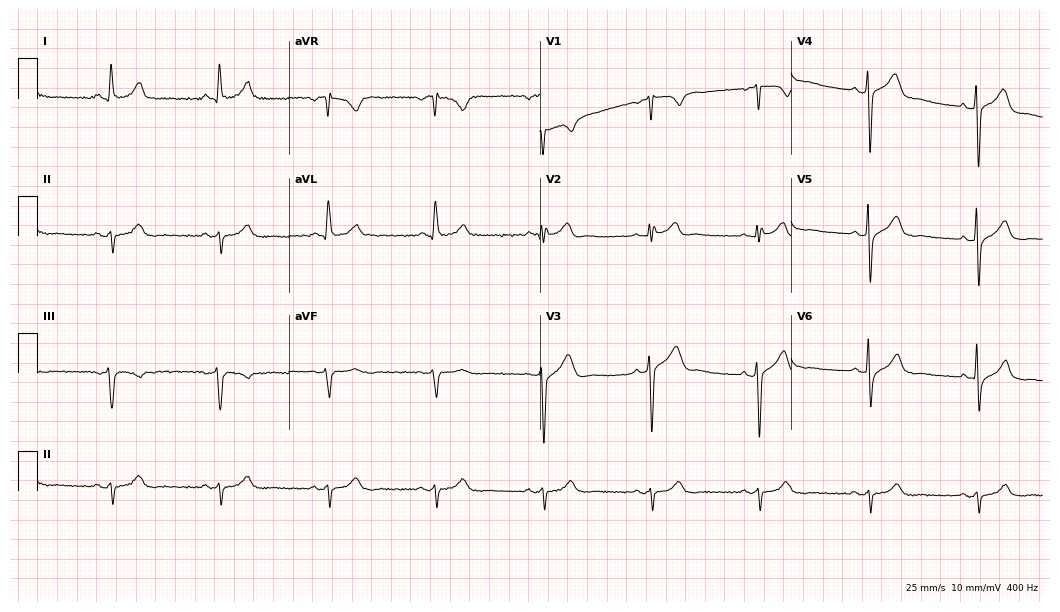
12-lead ECG (10.2-second recording at 400 Hz) from a 59-year-old male. Screened for six findings — first-degree AV block, right bundle branch block, left bundle branch block, sinus bradycardia, atrial fibrillation, sinus tachycardia — none is recorded.